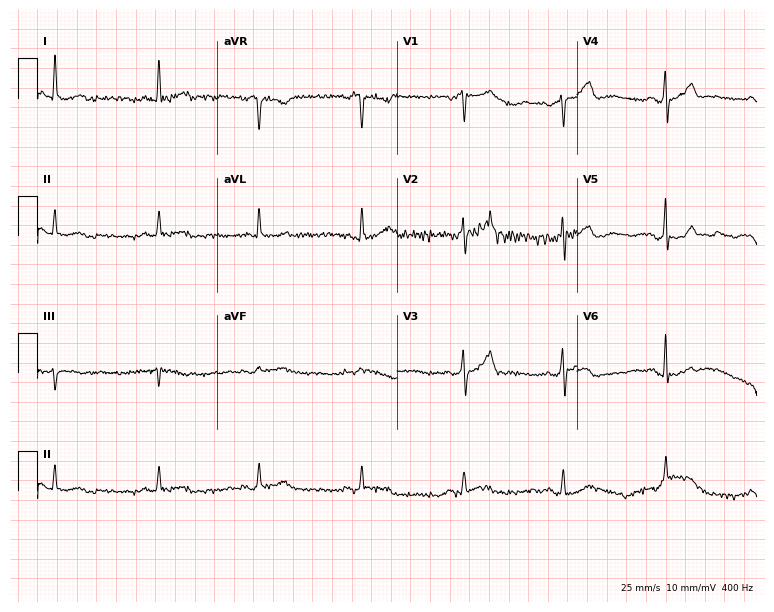
12-lead ECG from a male, 46 years old (7.3-second recording at 400 Hz). Recorded interpretation: within normal limits.